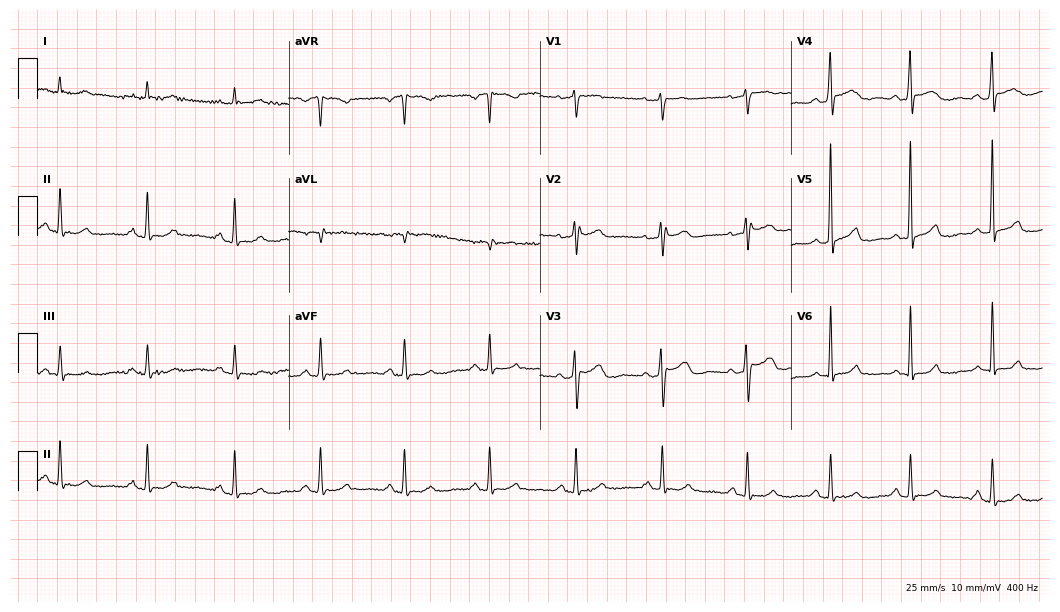
12-lead ECG from a 56-year-old female (10.2-second recording at 400 Hz). No first-degree AV block, right bundle branch block (RBBB), left bundle branch block (LBBB), sinus bradycardia, atrial fibrillation (AF) or sinus tachycardia recorded for this tracing.